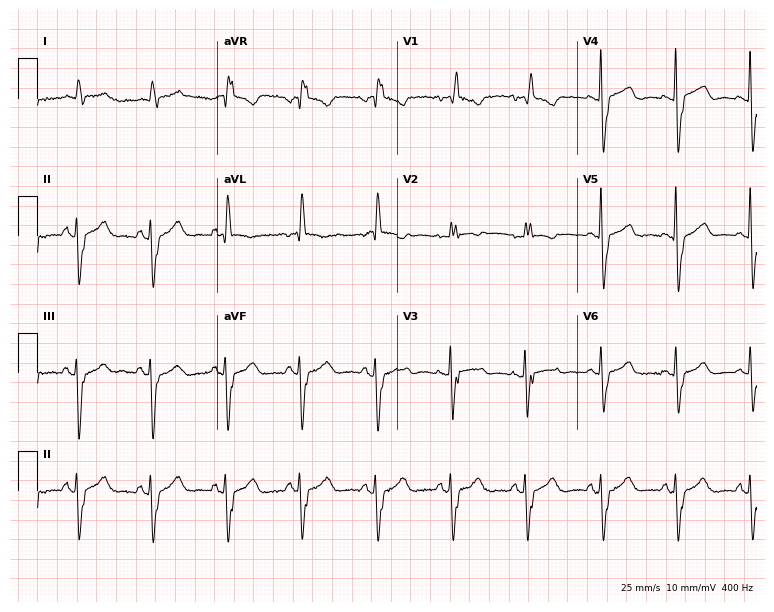
Standard 12-lead ECG recorded from a female patient, 84 years old. The tracing shows right bundle branch block.